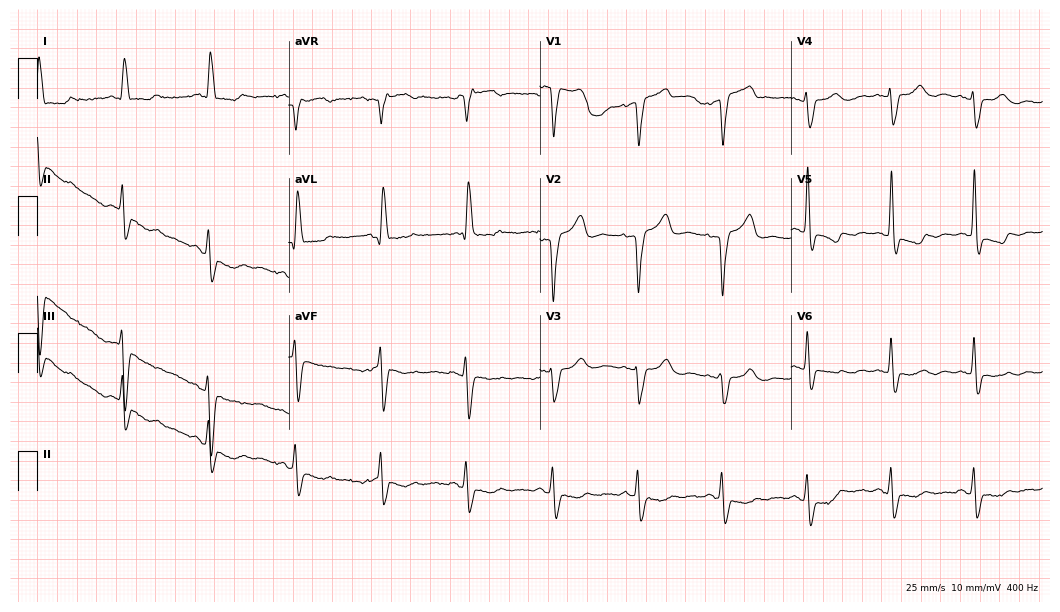
12-lead ECG from a woman, 75 years old (10.2-second recording at 400 Hz). No first-degree AV block, right bundle branch block, left bundle branch block, sinus bradycardia, atrial fibrillation or sinus tachycardia recorded for this tracing. Findings outside these six are not listed.